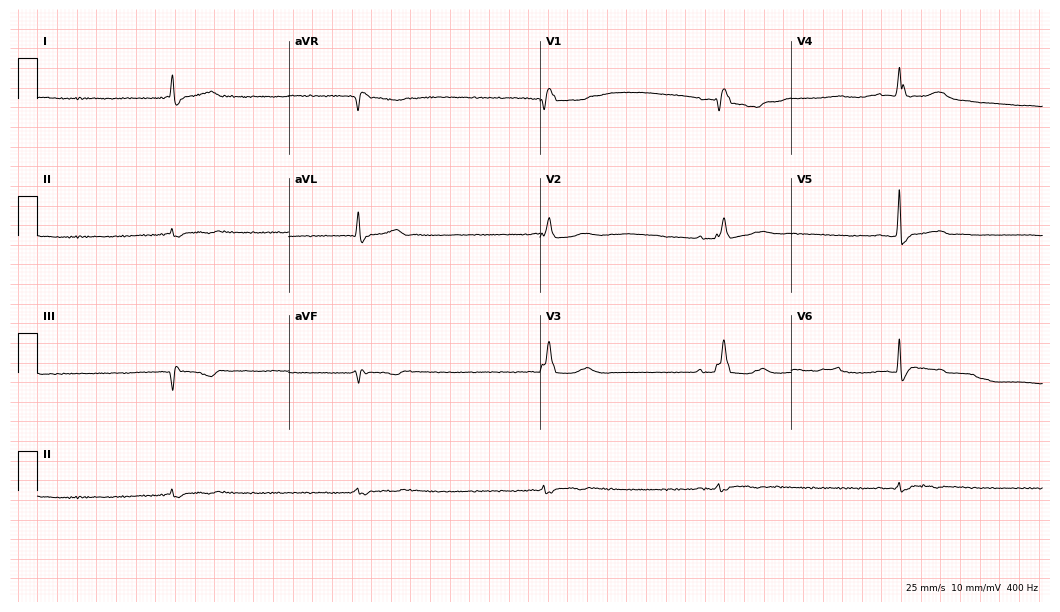
Resting 12-lead electrocardiogram (10.2-second recording at 400 Hz). Patient: a male, 75 years old. None of these six findings is recorded: first-degree AV block, right bundle branch block (RBBB), left bundle branch block (LBBB), sinus bradycardia, atrial fibrillation (AF), sinus tachycardia.